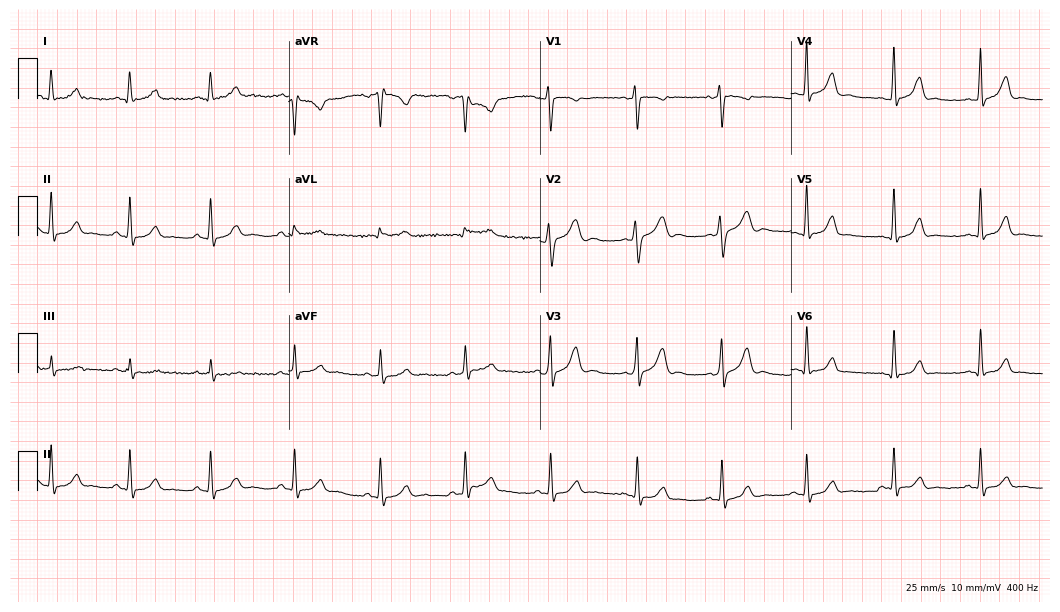
Electrocardiogram, a 25-year-old woman. Overall reading on record: normal ECG.